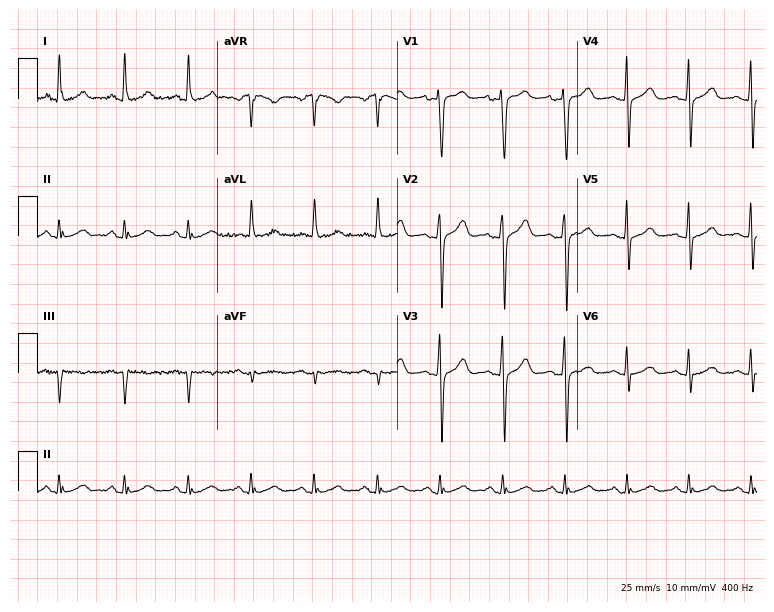
Electrocardiogram (7.3-second recording at 400 Hz), a woman, 30 years old. Overall reading on record: normal ECG.